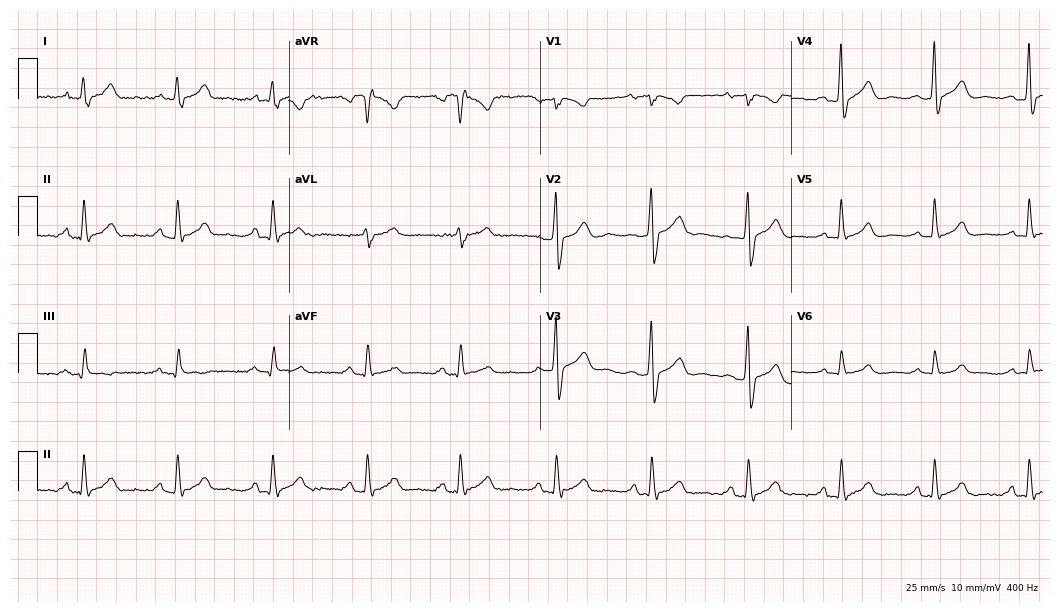
Standard 12-lead ECG recorded from a male, 43 years old (10.2-second recording at 400 Hz). None of these six findings is recorded: first-degree AV block, right bundle branch block, left bundle branch block, sinus bradycardia, atrial fibrillation, sinus tachycardia. Other findings, if any, are not listed.